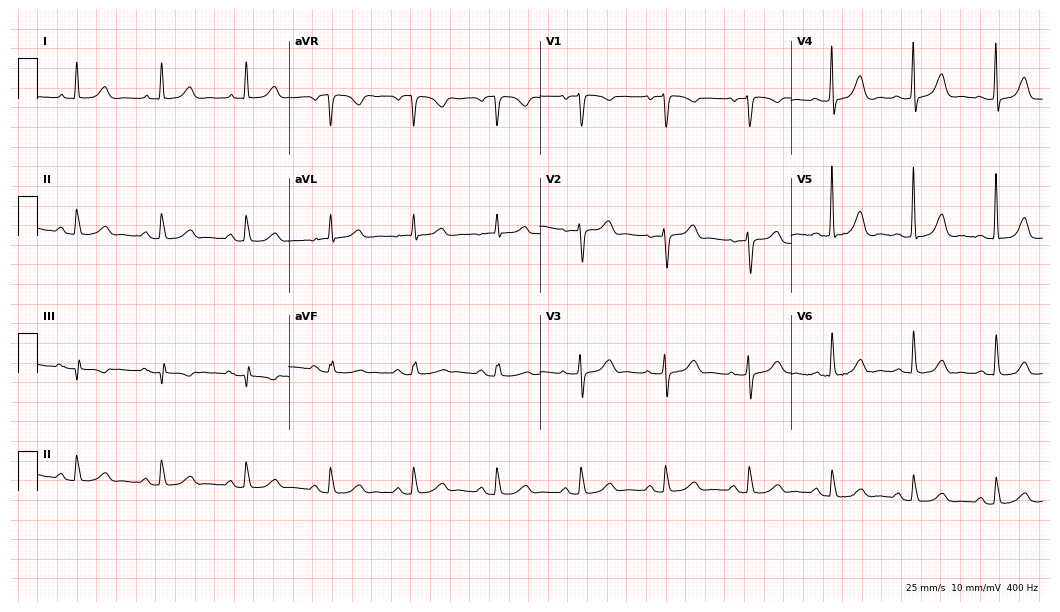
Electrocardiogram, a 79-year-old female. Of the six screened findings (first-degree AV block, right bundle branch block (RBBB), left bundle branch block (LBBB), sinus bradycardia, atrial fibrillation (AF), sinus tachycardia), none is recorded.